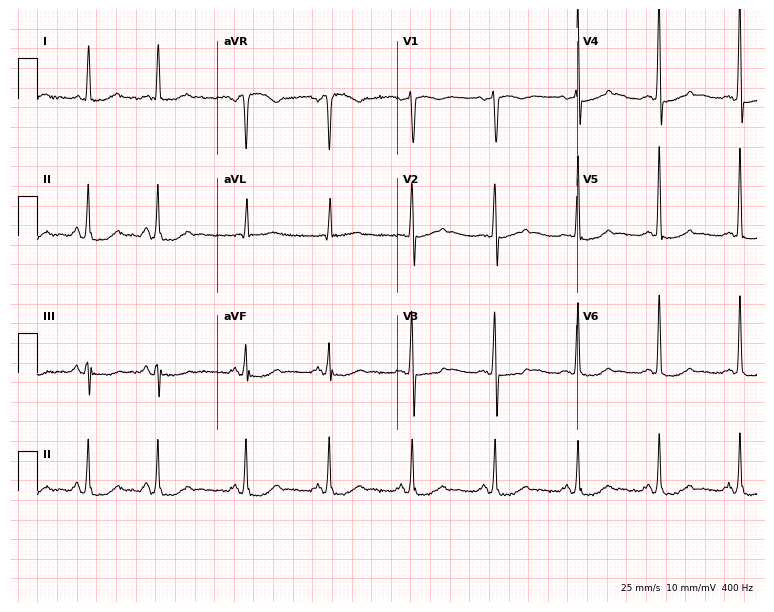
Resting 12-lead electrocardiogram. Patient: a female, 64 years old. None of these six findings is recorded: first-degree AV block, right bundle branch block (RBBB), left bundle branch block (LBBB), sinus bradycardia, atrial fibrillation (AF), sinus tachycardia.